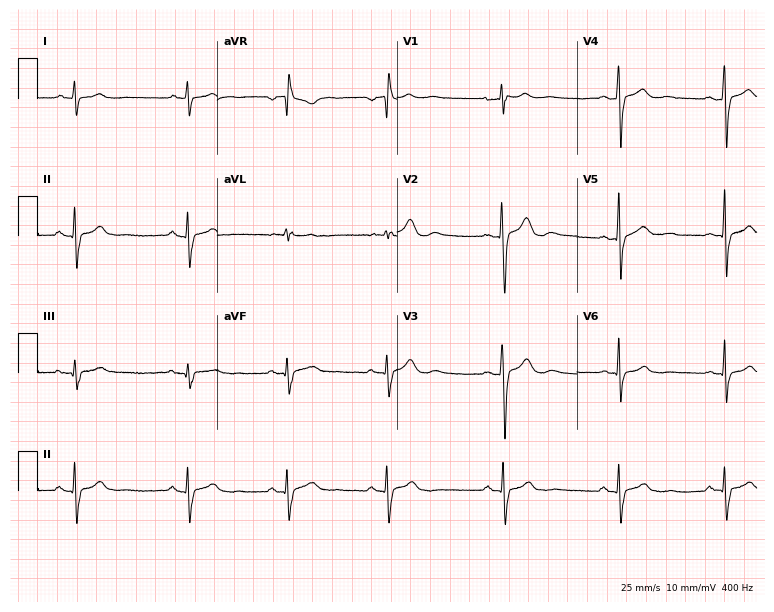
12-lead ECG from a man, 21 years old. Recorded interpretation: within normal limits.